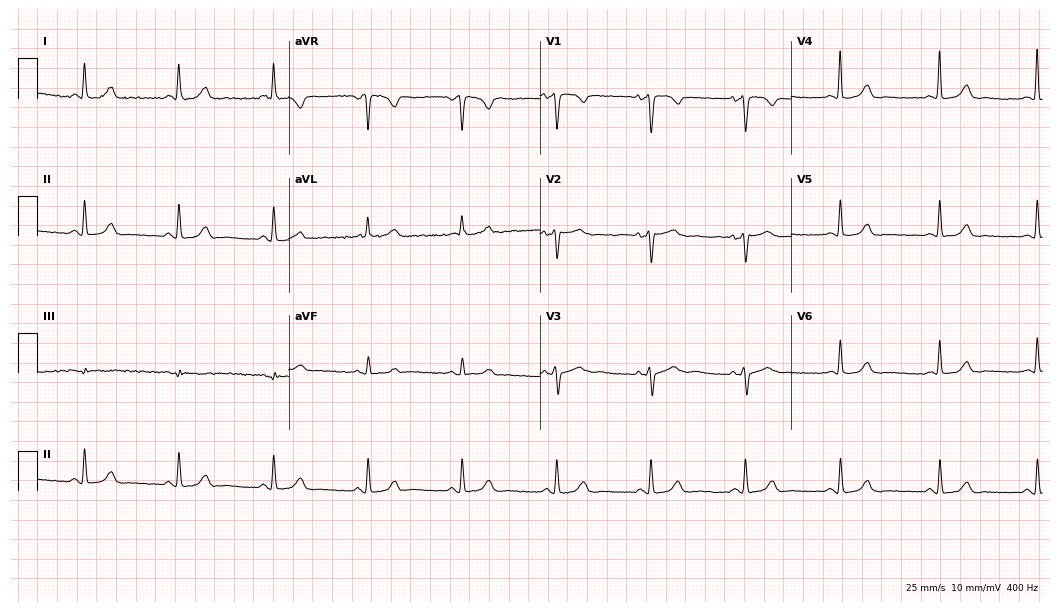
12-lead ECG from a 43-year-old female (10.2-second recording at 400 Hz). Recorded interpretation: within normal limits.